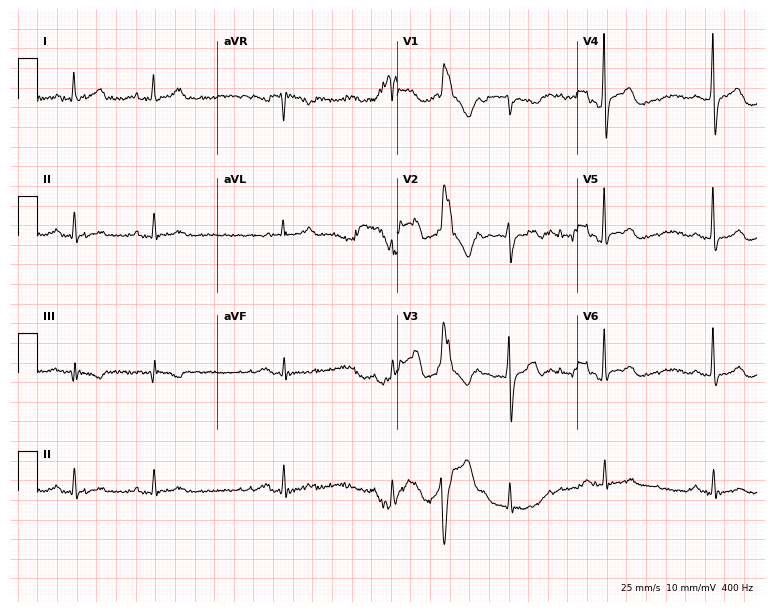
12-lead ECG from a male, 69 years old. Screened for six findings — first-degree AV block, right bundle branch block (RBBB), left bundle branch block (LBBB), sinus bradycardia, atrial fibrillation (AF), sinus tachycardia — none is recorded. Findings outside these six are not listed.